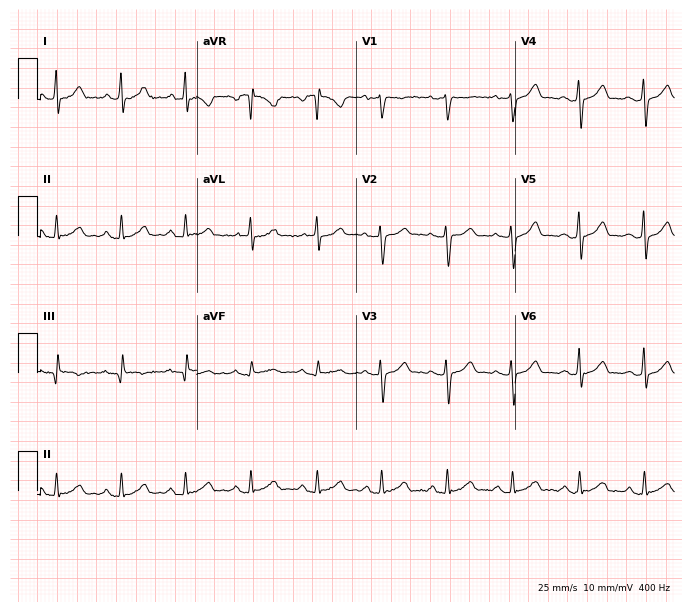
ECG — a 37-year-old female. Screened for six findings — first-degree AV block, right bundle branch block, left bundle branch block, sinus bradycardia, atrial fibrillation, sinus tachycardia — none is recorded.